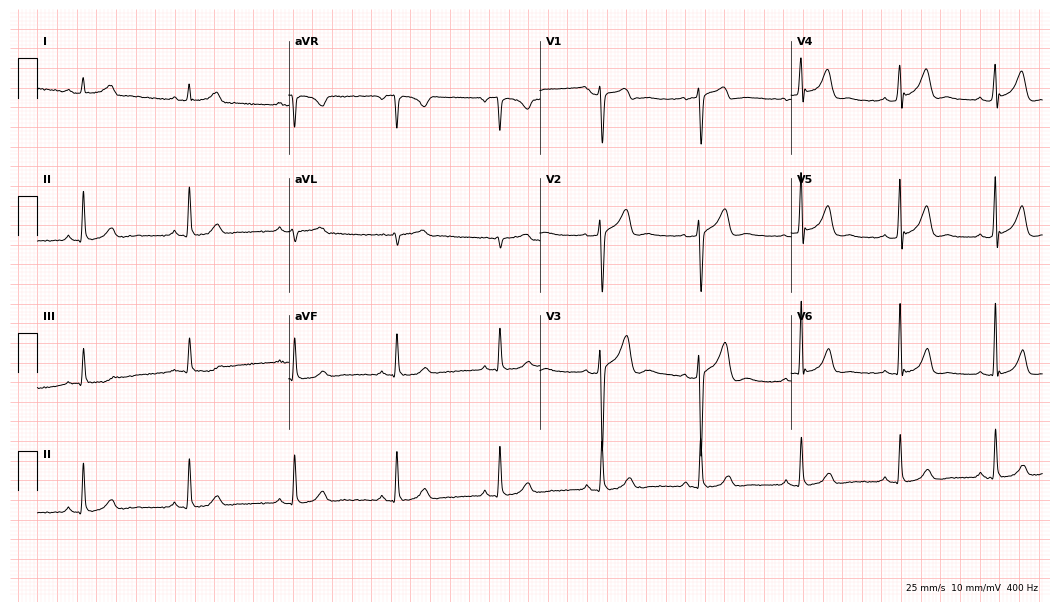
Electrocardiogram (10.2-second recording at 400 Hz), a male, 39 years old. Of the six screened findings (first-degree AV block, right bundle branch block, left bundle branch block, sinus bradycardia, atrial fibrillation, sinus tachycardia), none is recorded.